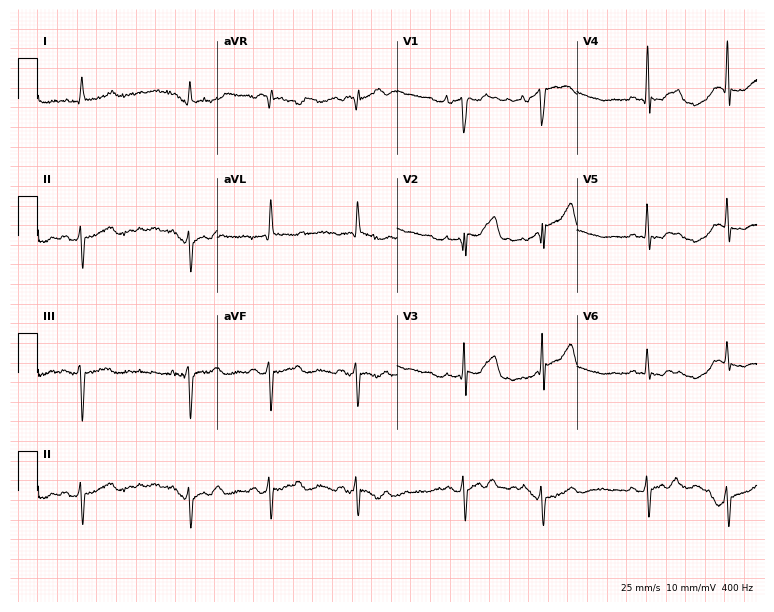
Electrocardiogram, a woman, 87 years old. Of the six screened findings (first-degree AV block, right bundle branch block (RBBB), left bundle branch block (LBBB), sinus bradycardia, atrial fibrillation (AF), sinus tachycardia), none is recorded. Other findings, if any, are not listed.